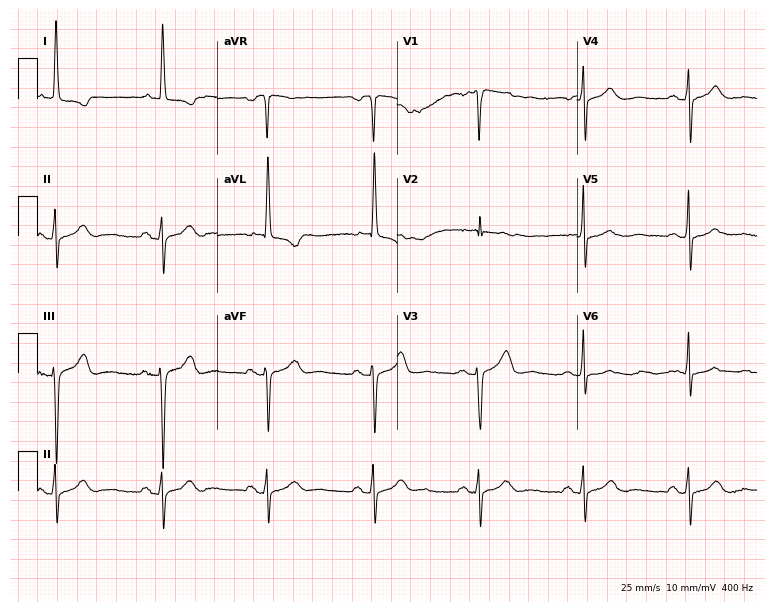
ECG — a female patient, 85 years old. Screened for six findings — first-degree AV block, right bundle branch block (RBBB), left bundle branch block (LBBB), sinus bradycardia, atrial fibrillation (AF), sinus tachycardia — none is recorded.